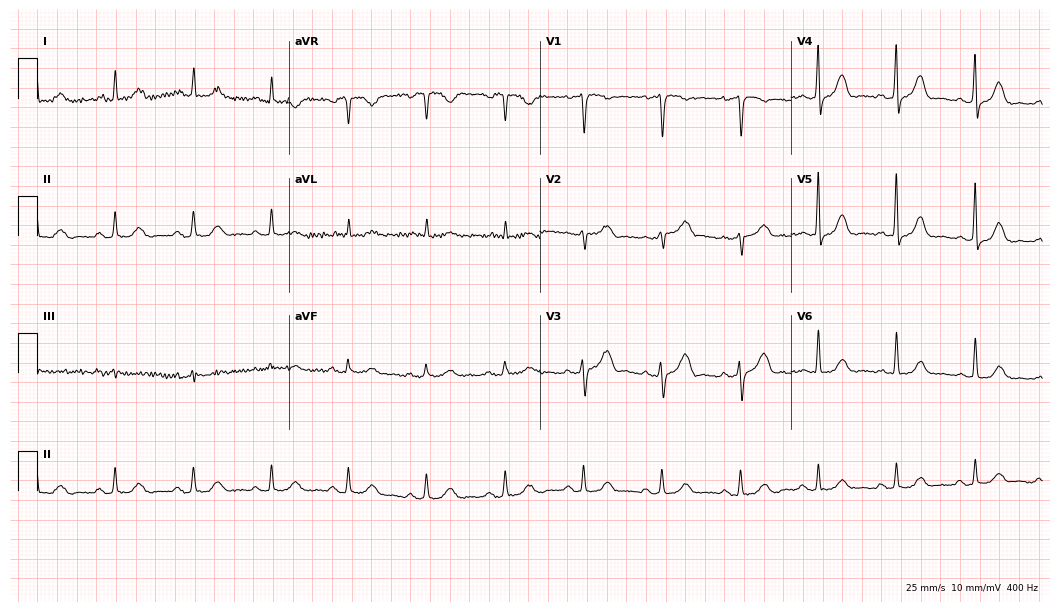
12-lead ECG (10.2-second recording at 400 Hz) from a 67-year-old female patient. Labelled as a normal ECG.